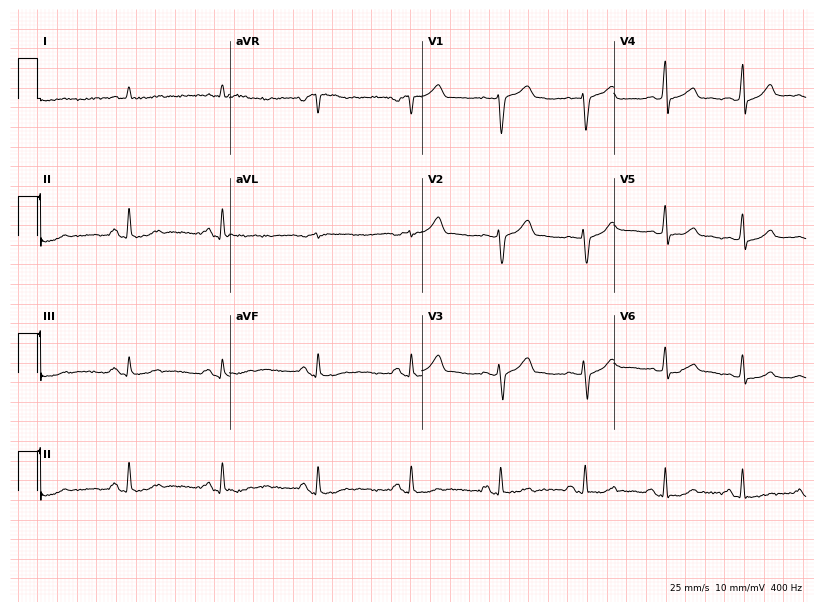
Electrocardiogram (7.8-second recording at 400 Hz), a male, 53 years old. Of the six screened findings (first-degree AV block, right bundle branch block (RBBB), left bundle branch block (LBBB), sinus bradycardia, atrial fibrillation (AF), sinus tachycardia), none is recorded. Findings outside these six are not listed.